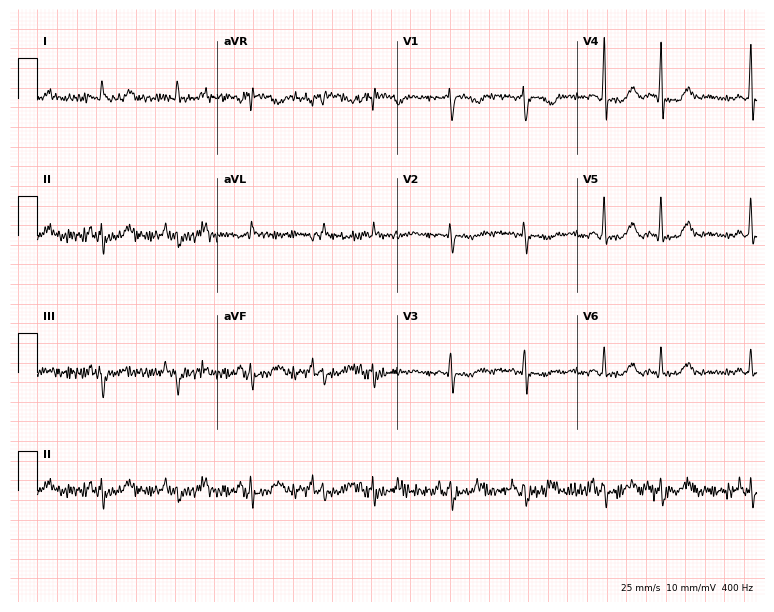
Standard 12-lead ECG recorded from an 84-year-old female (7.3-second recording at 400 Hz). None of these six findings is recorded: first-degree AV block, right bundle branch block (RBBB), left bundle branch block (LBBB), sinus bradycardia, atrial fibrillation (AF), sinus tachycardia. Other findings, if any, are not listed.